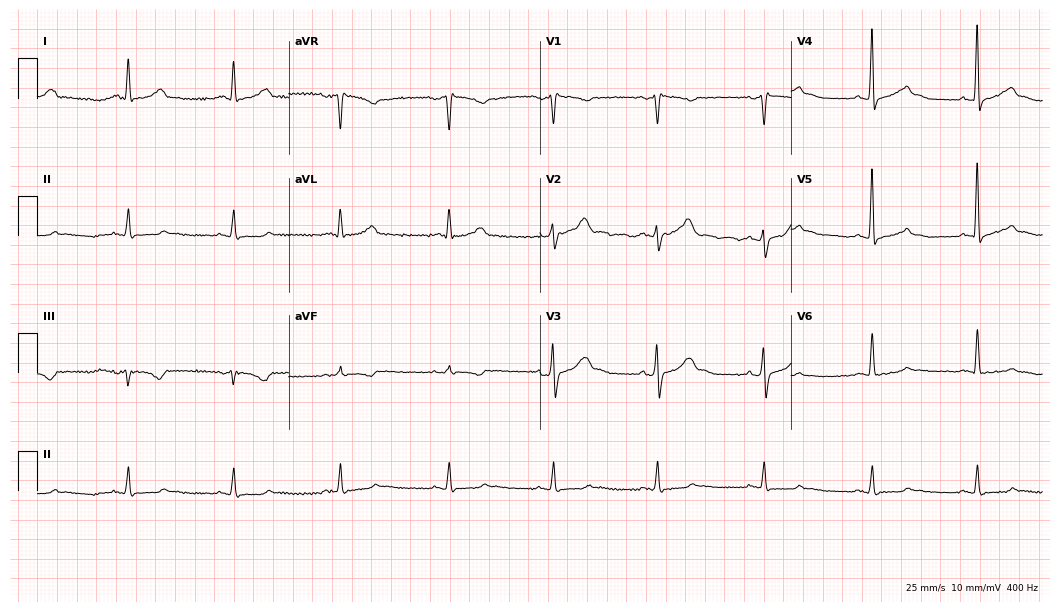
12-lead ECG from a male patient, 45 years old. Labelled as a normal ECG.